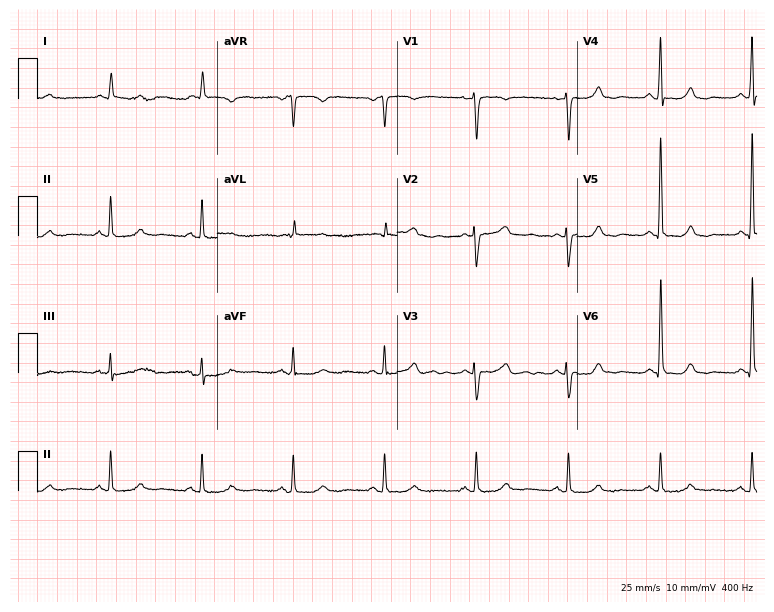
Electrocardiogram, a 58-year-old female patient. Overall reading on record: normal ECG.